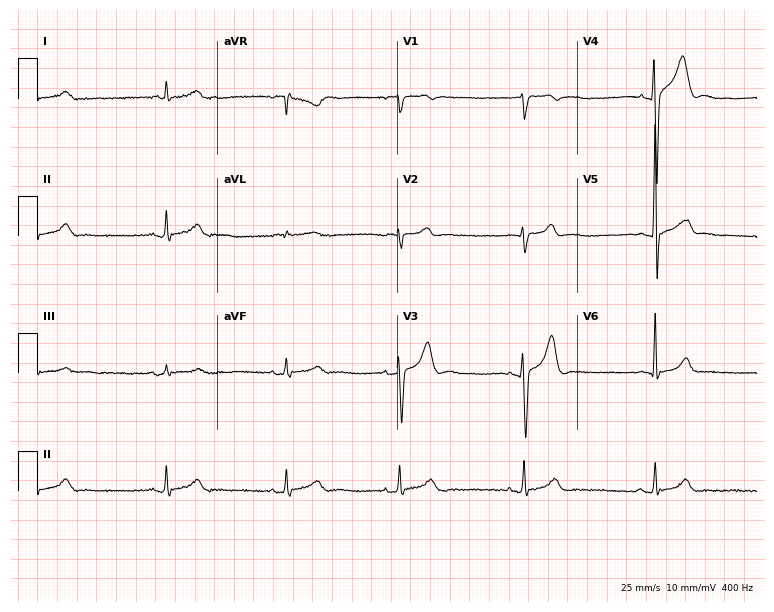
Electrocardiogram (7.3-second recording at 400 Hz), a 25-year-old male patient. Overall reading on record: normal ECG.